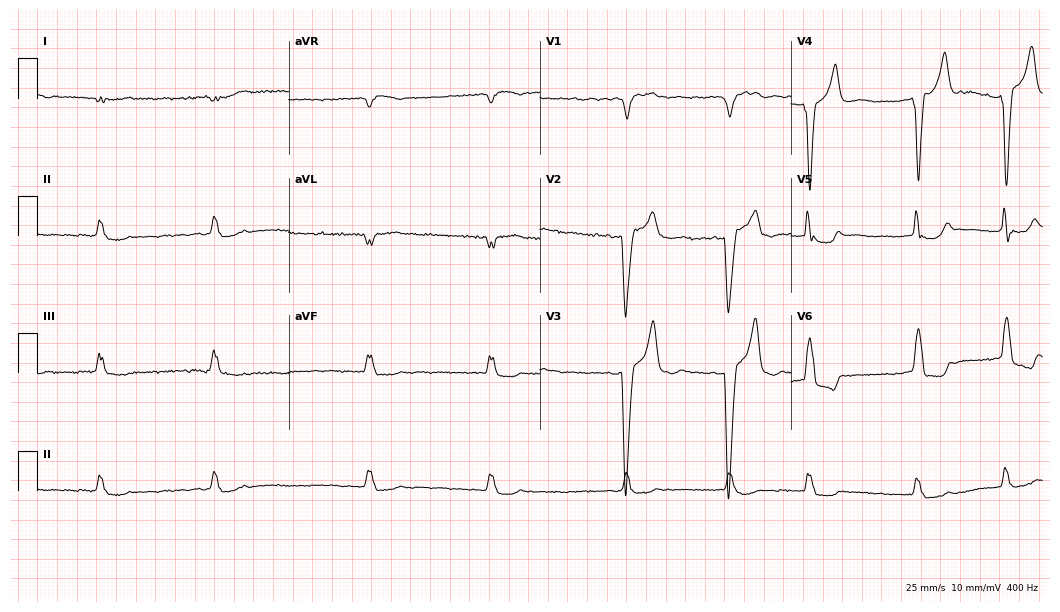
Resting 12-lead electrocardiogram (10.2-second recording at 400 Hz). Patient: a 79-year-old female. The tracing shows left bundle branch block (LBBB), atrial fibrillation (AF).